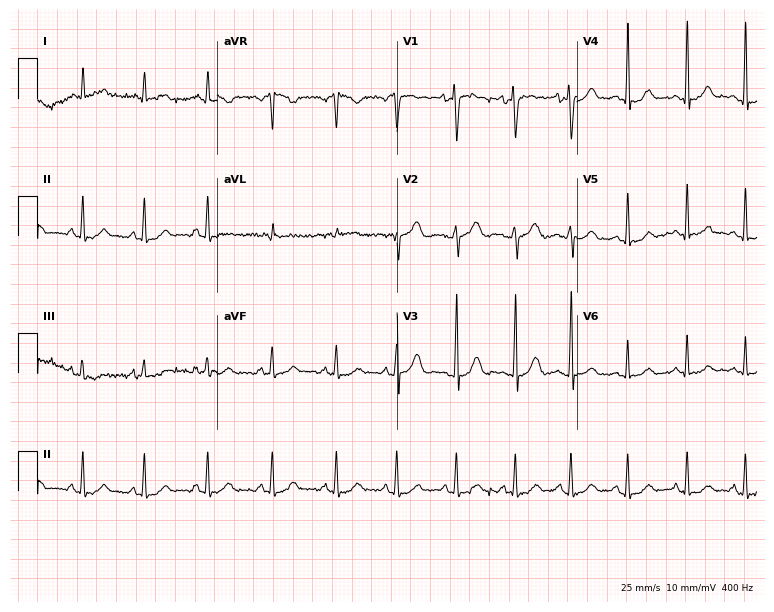
12-lead ECG from a female patient, 17 years old (7.3-second recording at 400 Hz). Recorded interpretation: within normal limits.